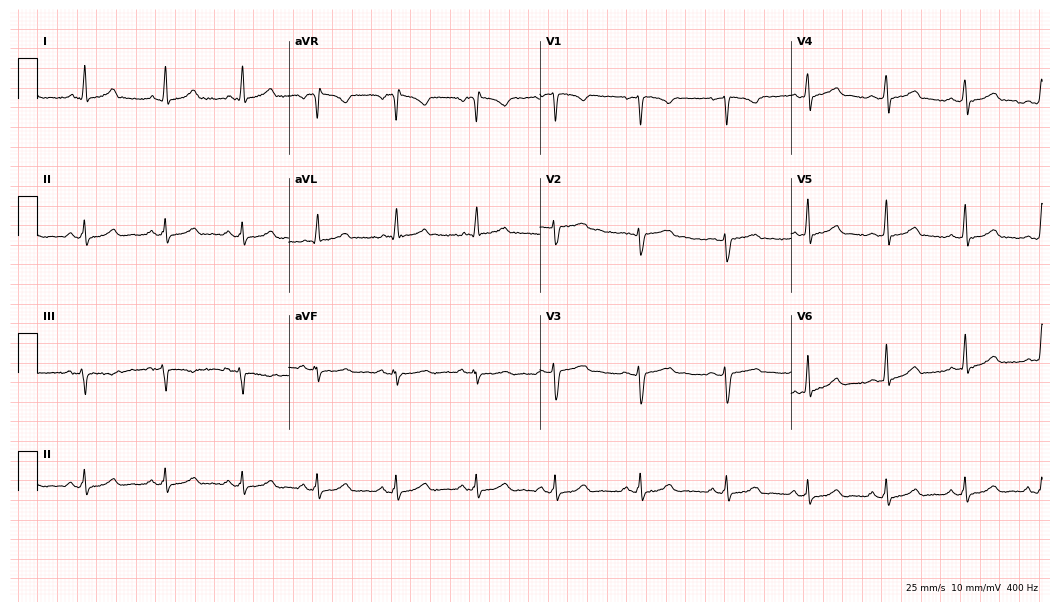
12-lead ECG from a 35-year-old female patient. Labelled as a normal ECG.